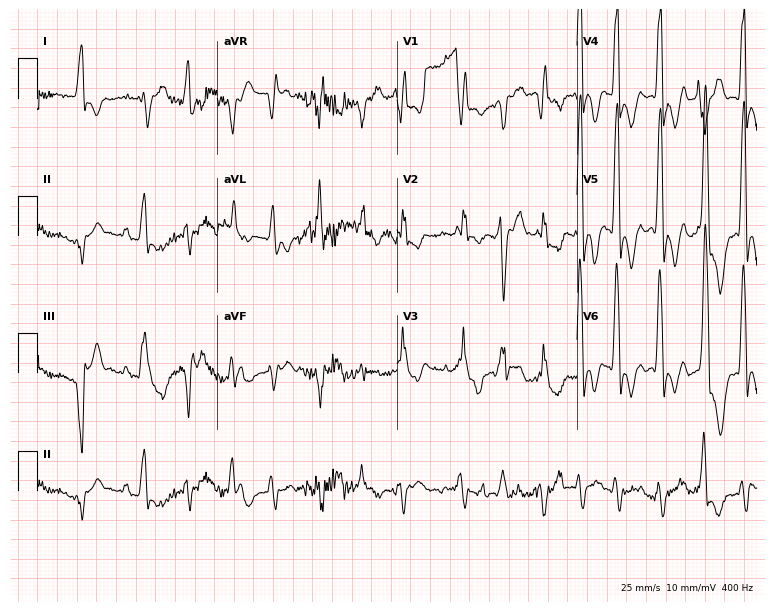
Standard 12-lead ECG recorded from a female patient, 60 years old. None of these six findings is recorded: first-degree AV block, right bundle branch block, left bundle branch block, sinus bradycardia, atrial fibrillation, sinus tachycardia. Other findings, if any, are not listed.